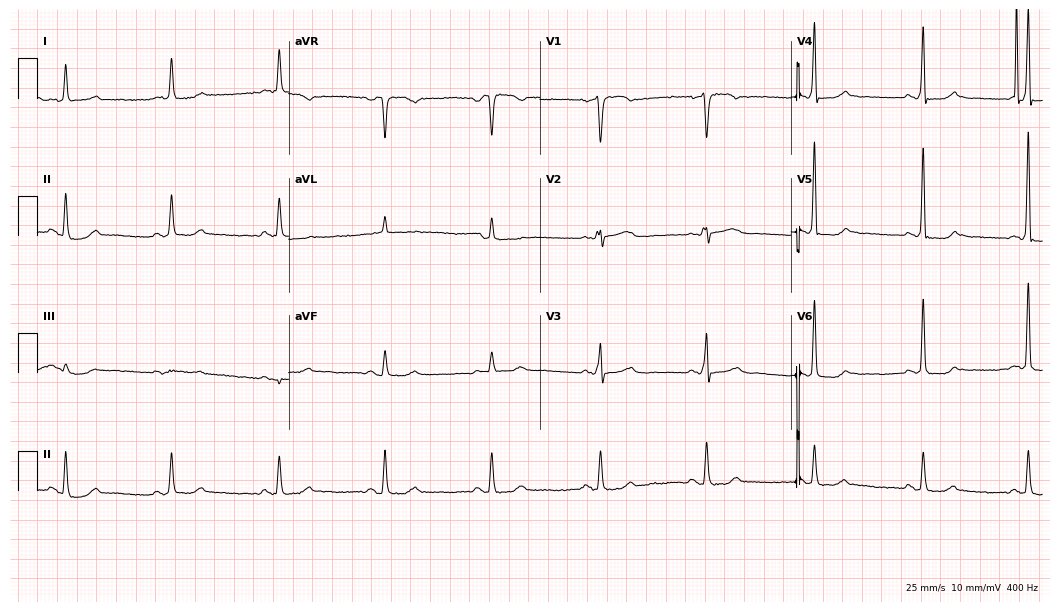
Electrocardiogram, a 70-year-old female patient. Of the six screened findings (first-degree AV block, right bundle branch block, left bundle branch block, sinus bradycardia, atrial fibrillation, sinus tachycardia), none is recorded.